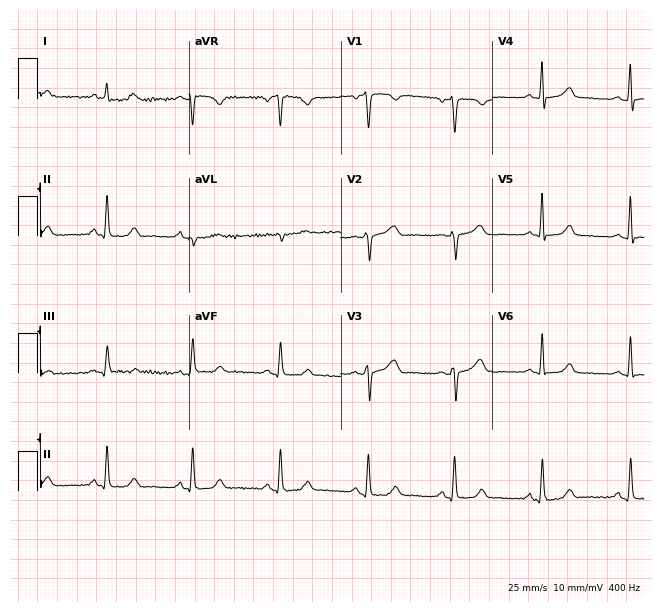
12-lead ECG (6.2-second recording at 400 Hz) from a 47-year-old female patient. Screened for six findings — first-degree AV block, right bundle branch block (RBBB), left bundle branch block (LBBB), sinus bradycardia, atrial fibrillation (AF), sinus tachycardia — none is recorded.